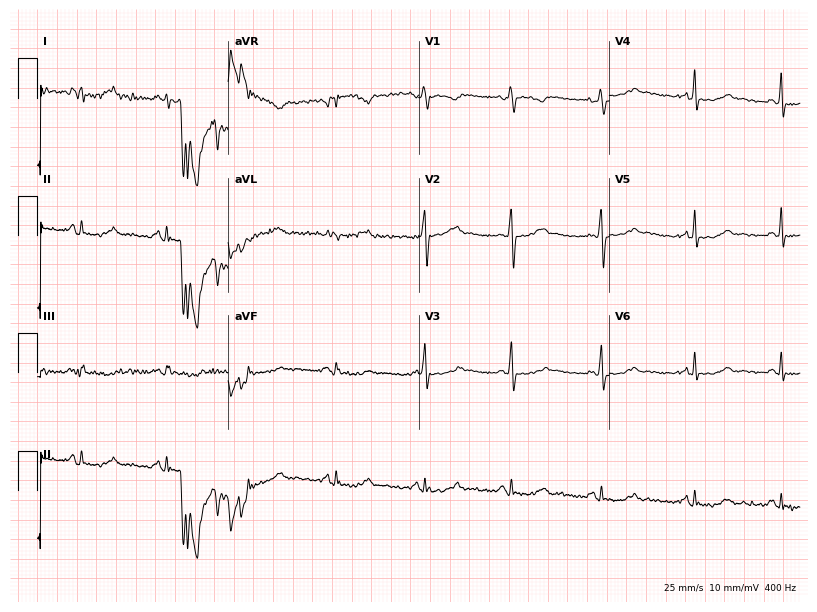
12-lead ECG from a 33-year-old woman (7.8-second recording at 400 Hz). No first-degree AV block, right bundle branch block, left bundle branch block, sinus bradycardia, atrial fibrillation or sinus tachycardia recorded for this tracing. Findings outside these six are not listed.